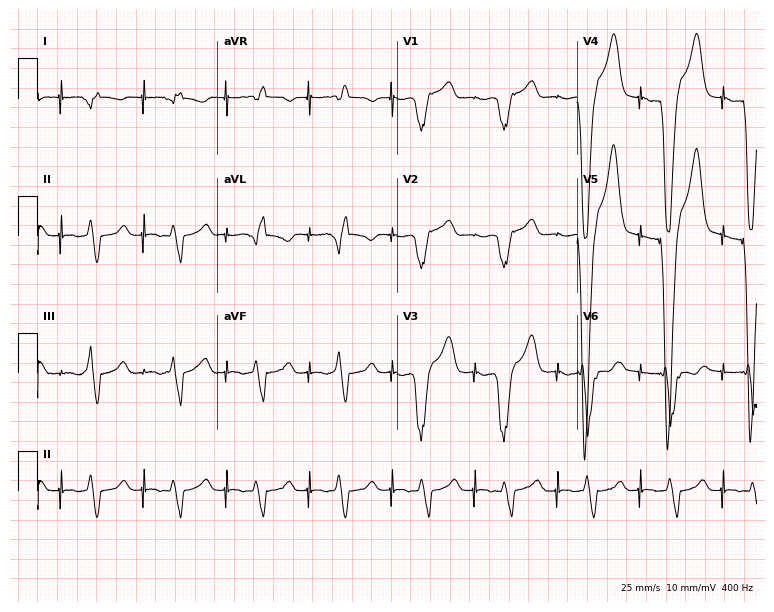
ECG (7.3-second recording at 400 Hz) — a man, 82 years old. Screened for six findings — first-degree AV block, right bundle branch block (RBBB), left bundle branch block (LBBB), sinus bradycardia, atrial fibrillation (AF), sinus tachycardia — none is recorded.